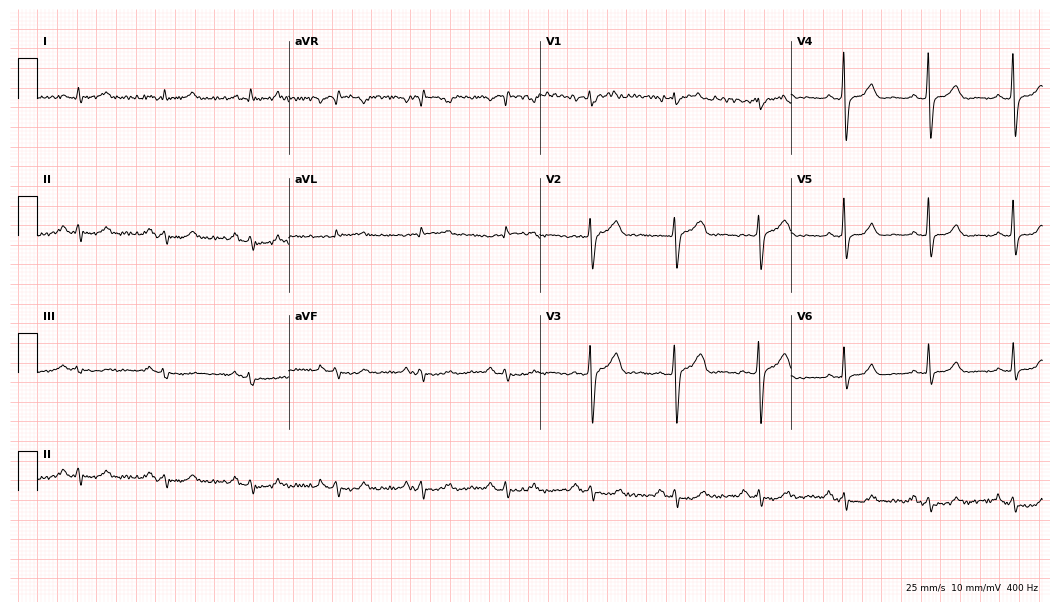
12-lead ECG (10.2-second recording at 400 Hz) from a 78-year-old man. Screened for six findings — first-degree AV block, right bundle branch block, left bundle branch block, sinus bradycardia, atrial fibrillation, sinus tachycardia — none is recorded.